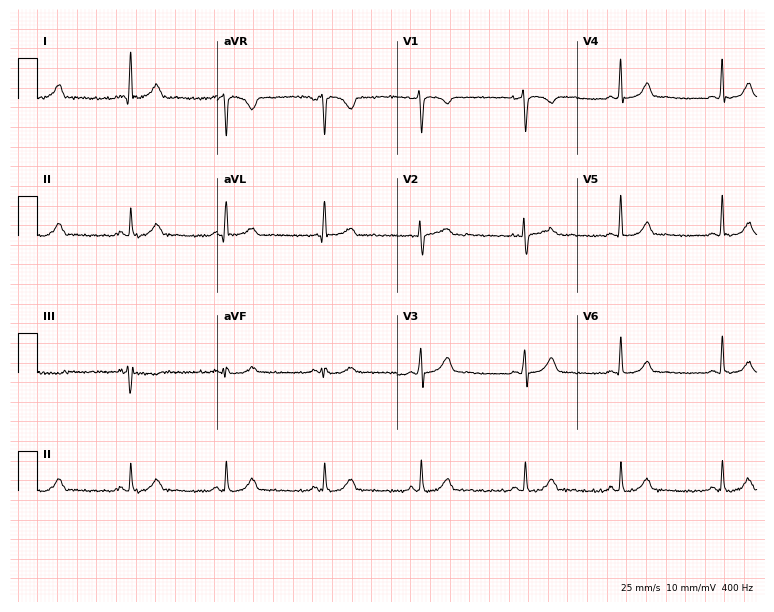
ECG (7.3-second recording at 400 Hz) — a female patient, 33 years old. Labelled as a normal ECG.